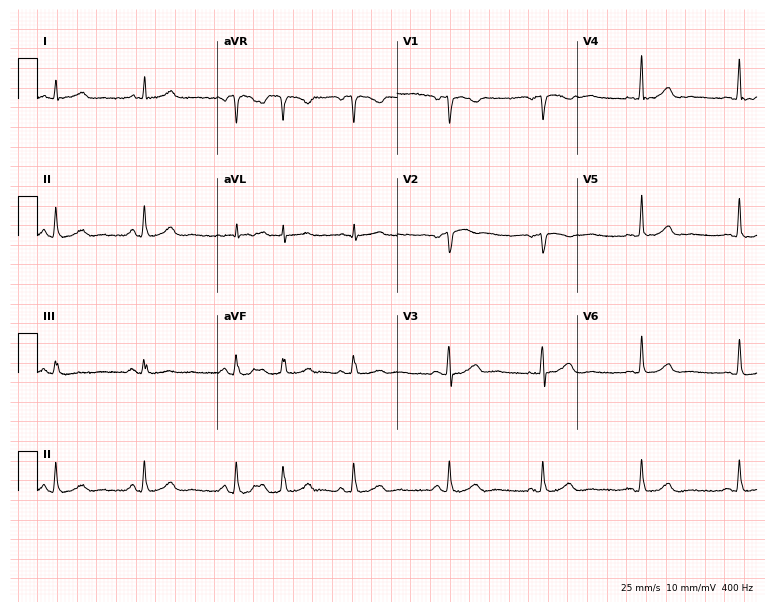
Standard 12-lead ECG recorded from a woman, 48 years old (7.3-second recording at 400 Hz). None of these six findings is recorded: first-degree AV block, right bundle branch block, left bundle branch block, sinus bradycardia, atrial fibrillation, sinus tachycardia.